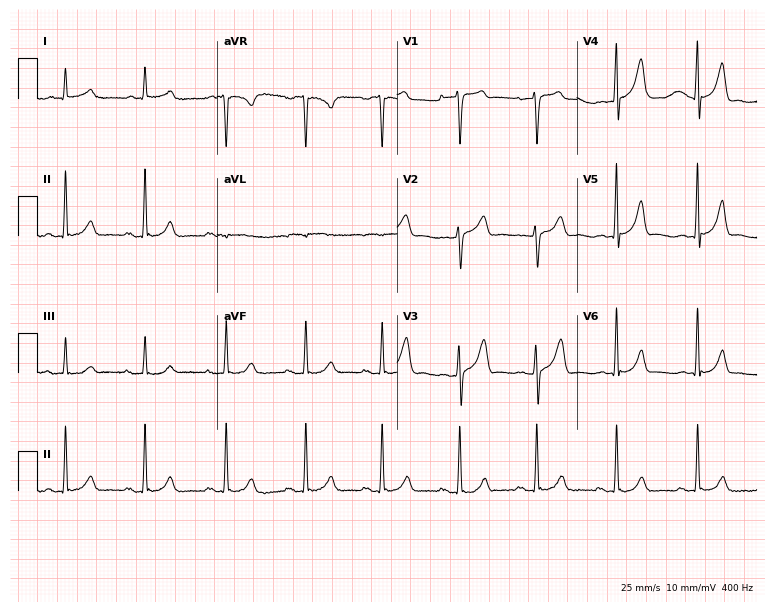
Standard 12-lead ECG recorded from a 53-year-old male patient. None of these six findings is recorded: first-degree AV block, right bundle branch block (RBBB), left bundle branch block (LBBB), sinus bradycardia, atrial fibrillation (AF), sinus tachycardia.